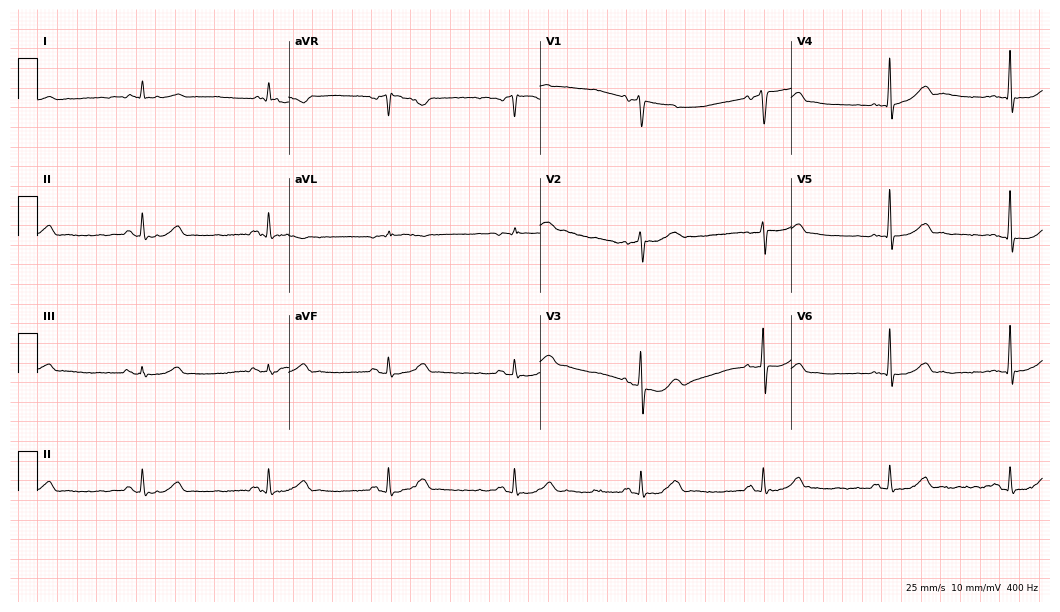
Resting 12-lead electrocardiogram. Patient: a female, 68 years old. The tracing shows sinus bradycardia (a sinus rate of 50 beats per minute or less).